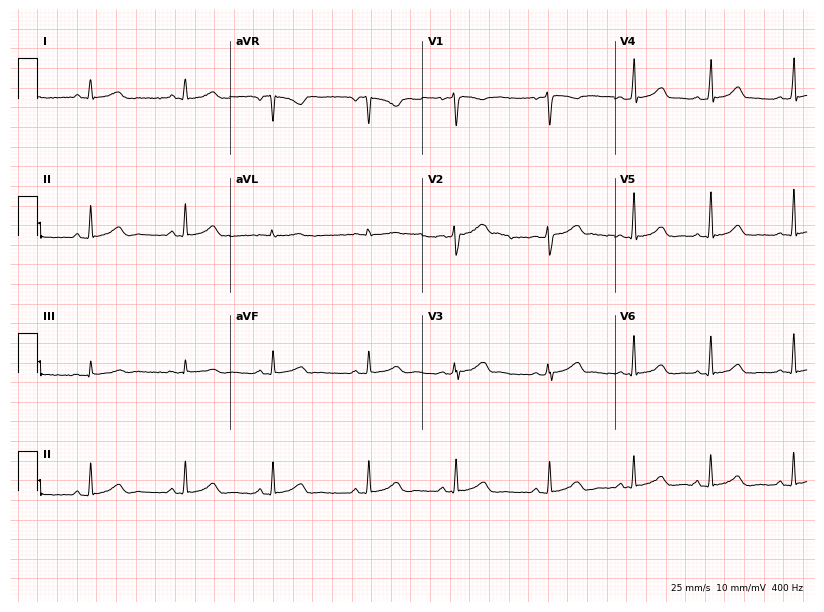
12-lead ECG (7.8-second recording at 400 Hz) from a female, 27 years old. Labelled as a normal ECG.